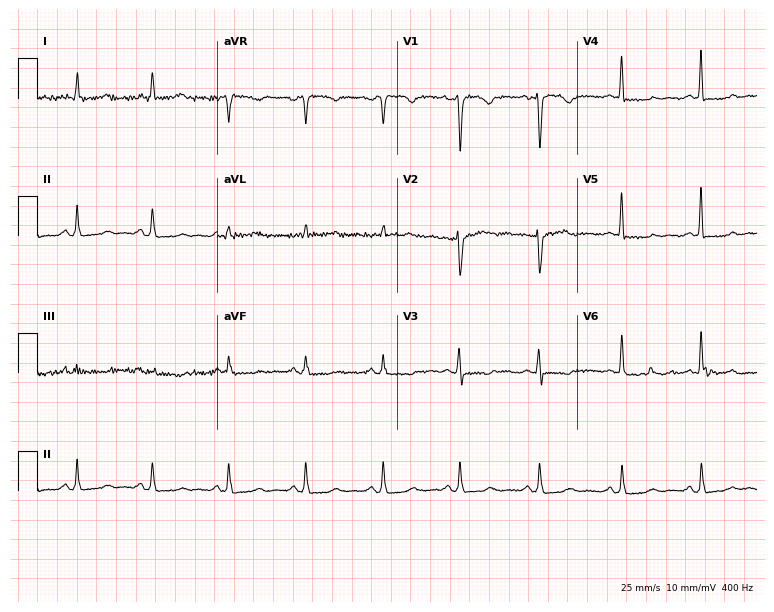
Electrocardiogram, a 60-year-old female. Of the six screened findings (first-degree AV block, right bundle branch block (RBBB), left bundle branch block (LBBB), sinus bradycardia, atrial fibrillation (AF), sinus tachycardia), none is recorded.